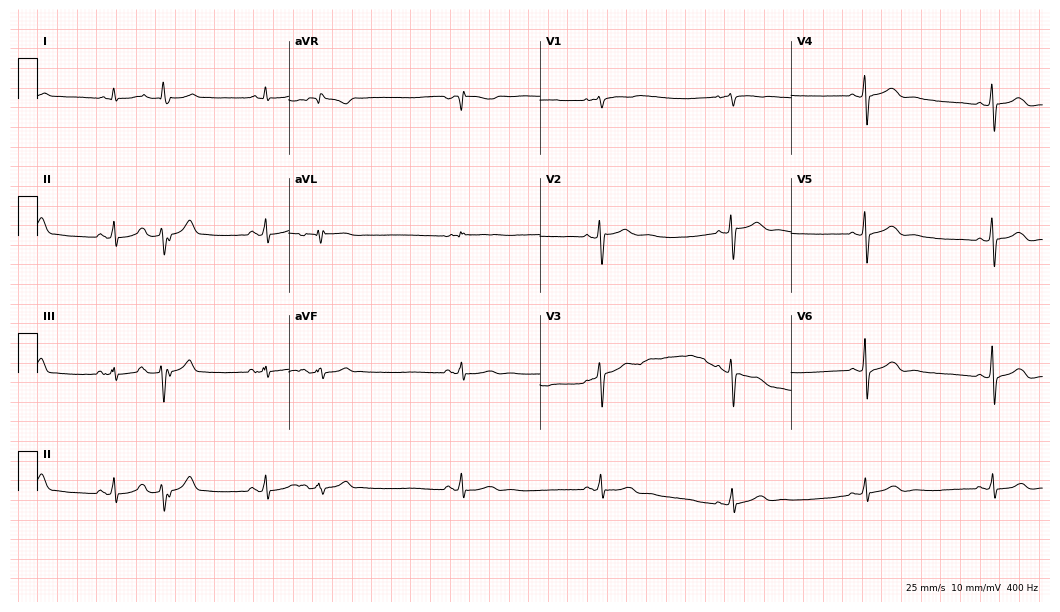
12-lead ECG from a female patient, 52 years old. Screened for six findings — first-degree AV block, right bundle branch block, left bundle branch block, sinus bradycardia, atrial fibrillation, sinus tachycardia — none is recorded.